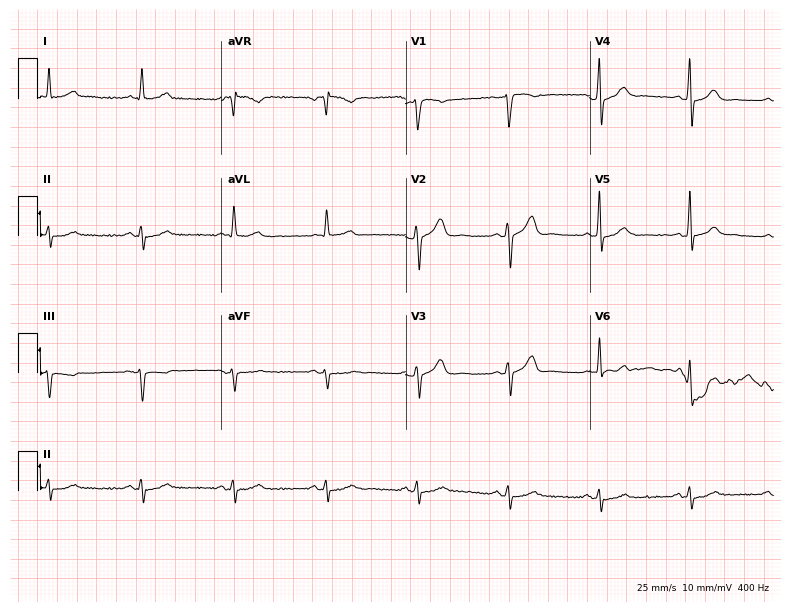
ECG — a 60-year-old male patient. Screened for six findings — first-degree AV block, right bundle branch block, left bundle branch block, sinus bradycardia, atrial fibrillation, sinus tachycardia — none is recorded. Other findings, if any, are not listed.